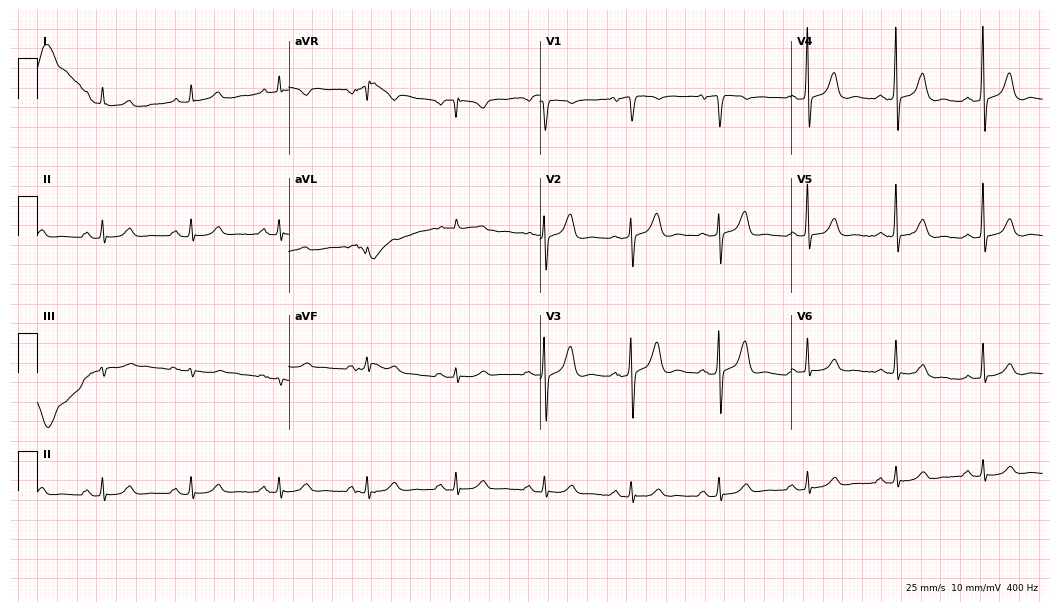
Resting 12-lead electrocardiogram (10.2-second recording at 400 Hz). Patient: a 70-year-old man. Read as a normal ECG.